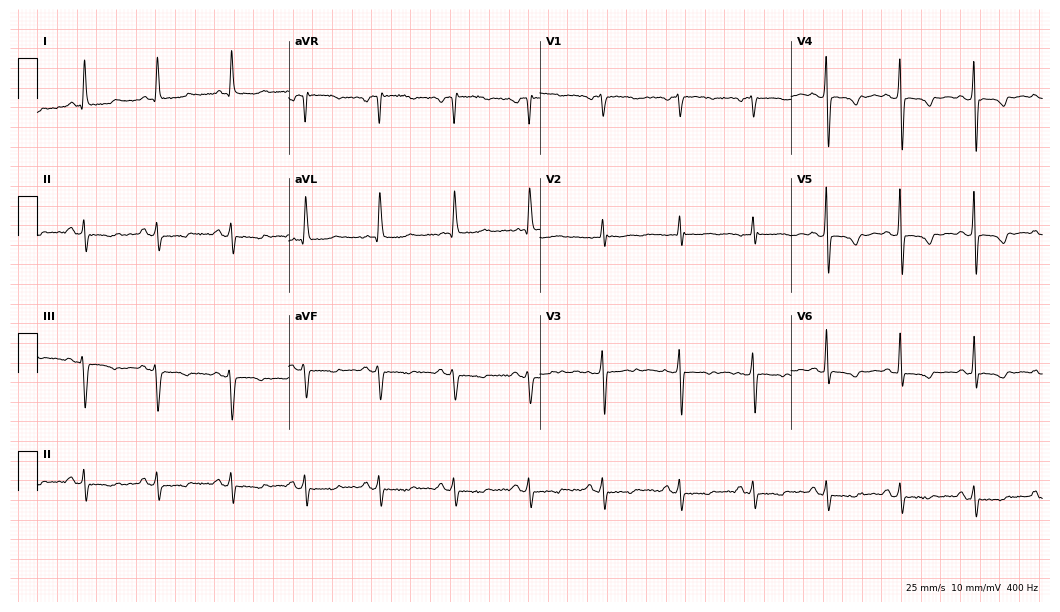
12-lead ECG from a woman, 58 years old (10.2-second recording at 400 Hz). No first-degree AV block, right bundle branch block, left bundle branch block, sinus bradycardia, atrial fibrillation or sinus tachycardia recorded for this tracing.